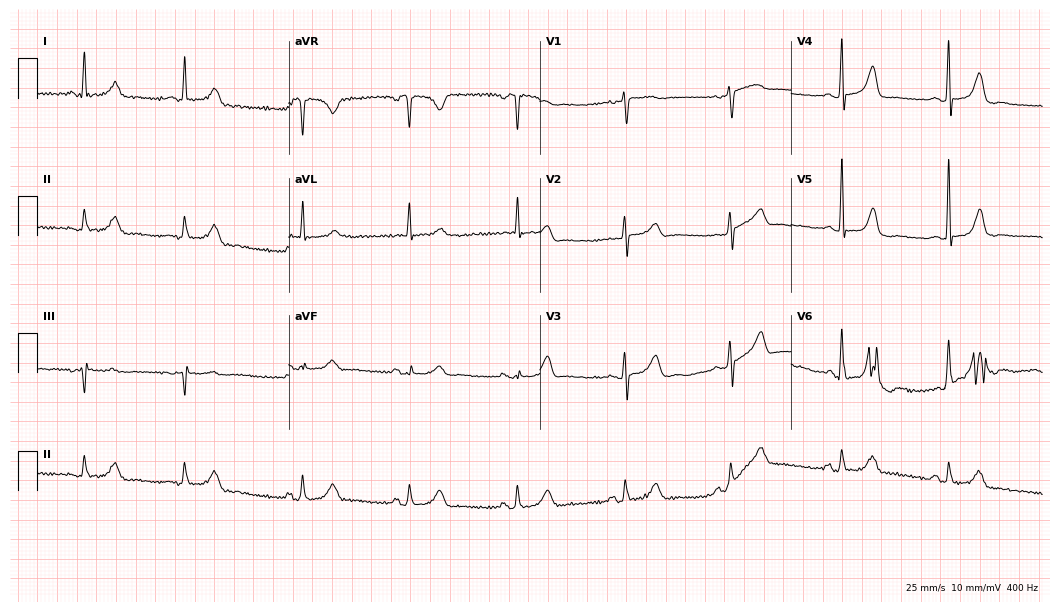
ECG — a 71-year-old woman. Screened for six findings — first-degree AV block, right bundle branch block, left bundle branch block, sinus bradycardia, atrial fibrillation, sinus tachycardia — none is recorded. Other findings, if any, are not listed.